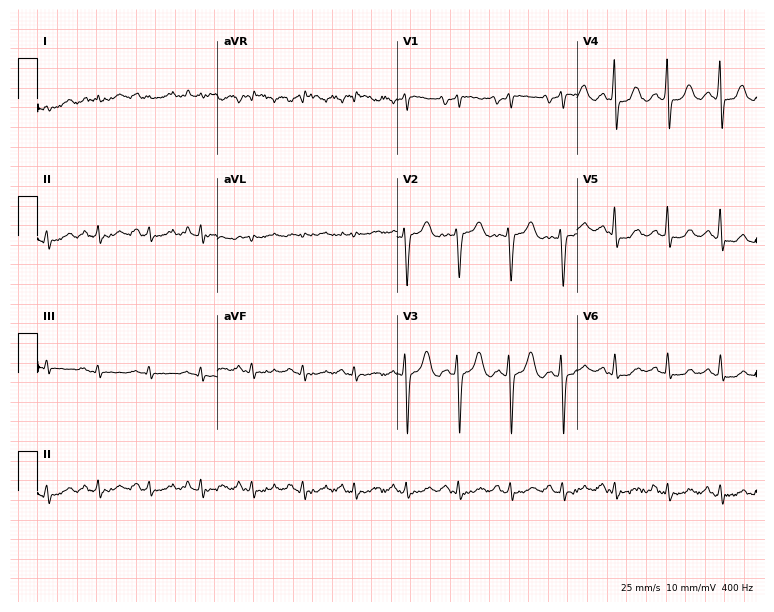
Resting 12-lead electrocardiogram (7.3-second recording at 400 Hz). Patient: a 43-year-old woman. The tracing shows sinus tachycardia (a sinus rate of 100 beats per minute or more).